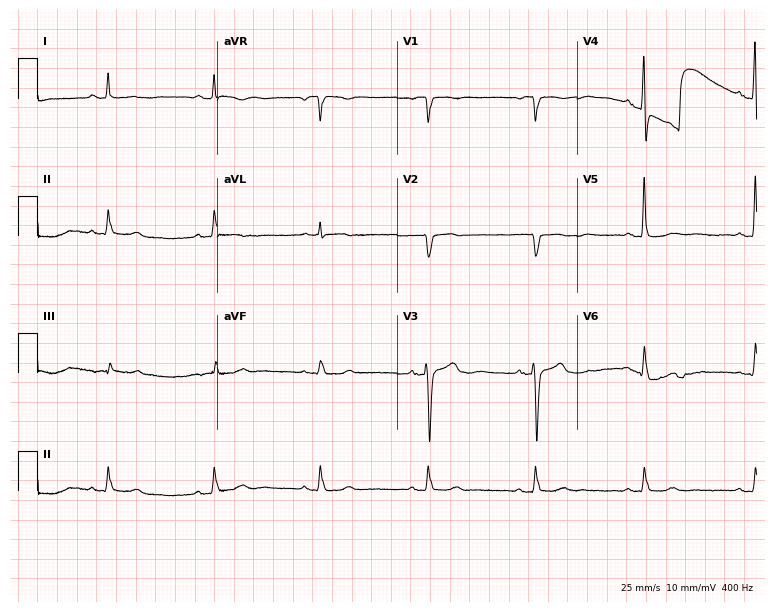
Resting 12-lead electrocardiogram (7.3-second recording at 400 Hz). Patient: a man, 46 years old. None of these six findings is recorded: first-degree AV block, right bundle branch block, left bundle branch block, sinus bradycardia, atrial fibrillation, sinus tachycardia. Only these six findings were labelled.